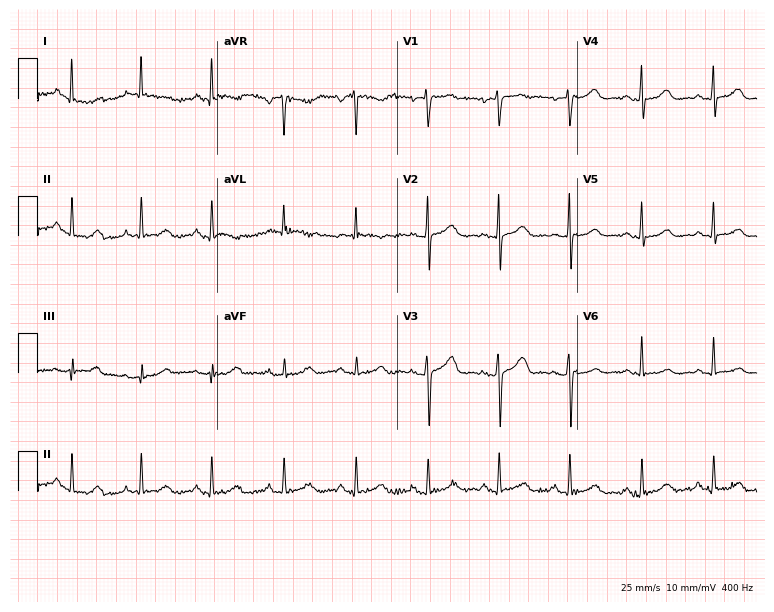
Electrocardiogram (7.3-second recording at 400 Hz), a 54-year-old female patient. Overall reading on record: normal ECG.